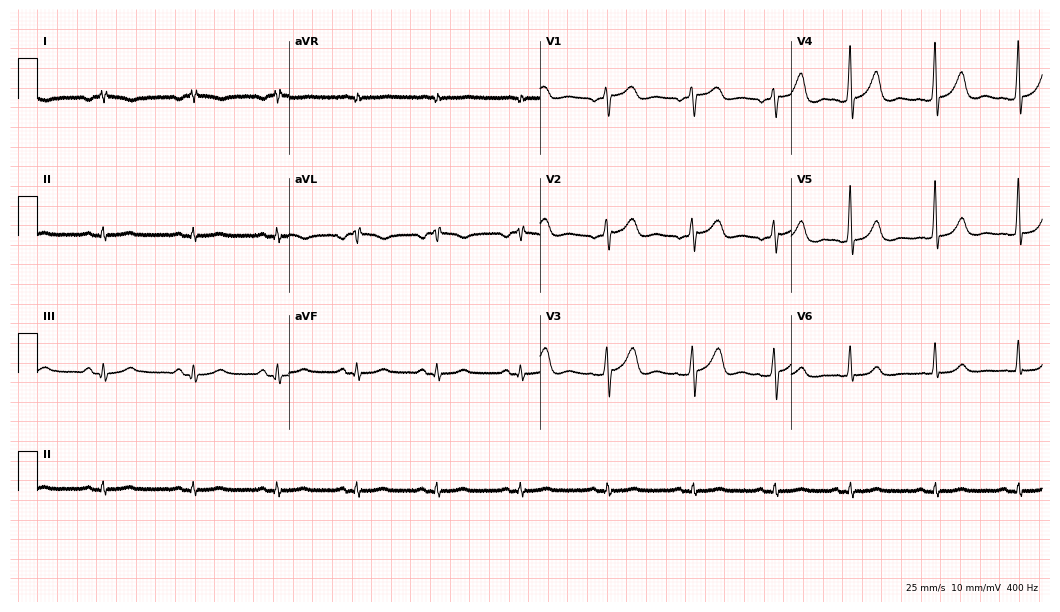
Electrocardiogram, a male, 69 years old. Of the six screened findings (first-degree AV block, right bundle branch block, left bundle branch block, sinus bradycardia, atrial fibrillation, sinus tachycardia), none is recorded. Other findings, if any, are not listed.